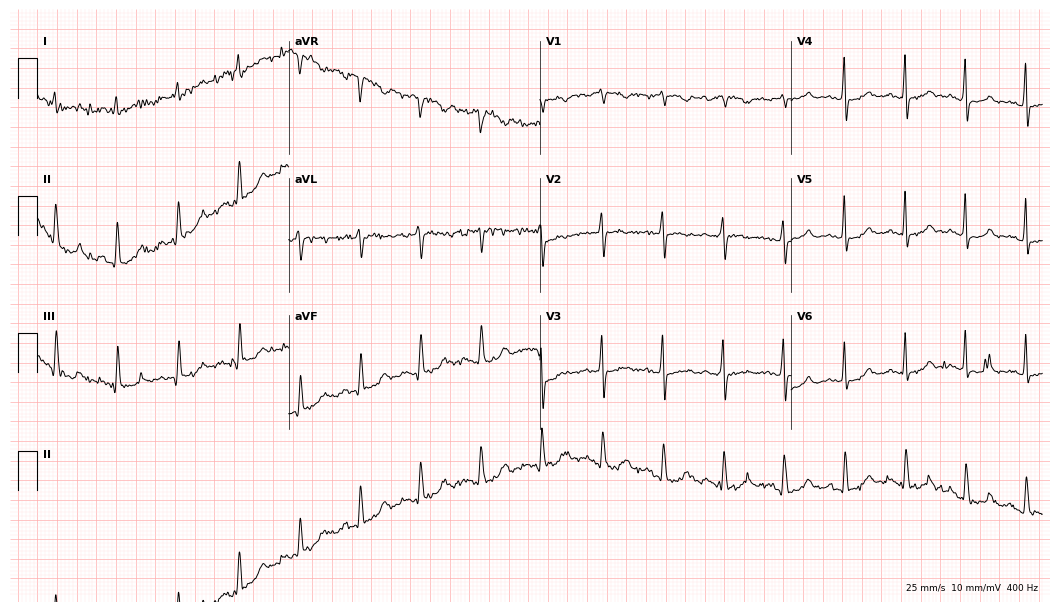
12-lead ECG from a 78-year-old female (10.2-second recording at 400 Hz). No first-degree AV block, right bundle branch block (RBBB), left bundle branch block (LBBB), sinus bradycardia, atrial fibrillation (AF) or sinus tachycardia recorded for this tracing.